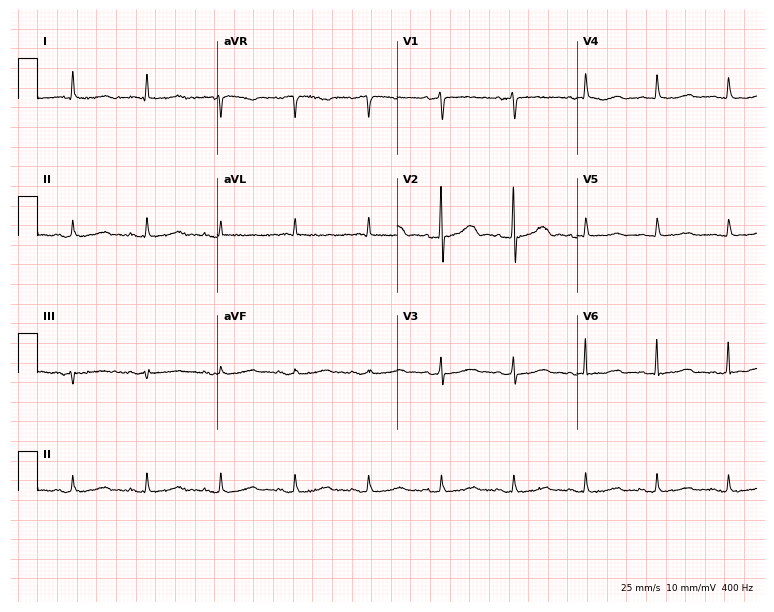
Resting 12-lead electrocardiogram. Patient: an 82-year-old woman. Read as a normal ECG.